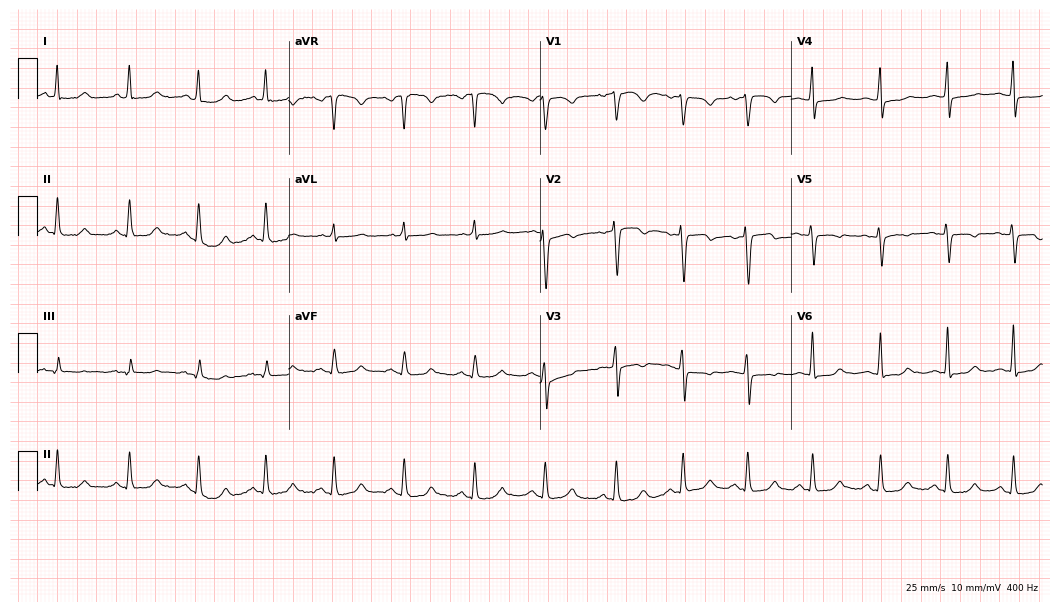
12-lead ECG from a 43-year-old woman. No first-degree AV block, right bundle branch block, left bundle branch block, sinus bradycardia, atrial fibrillation or sinus tachycardia recorded for this tracing. Only these six findings were labelled.